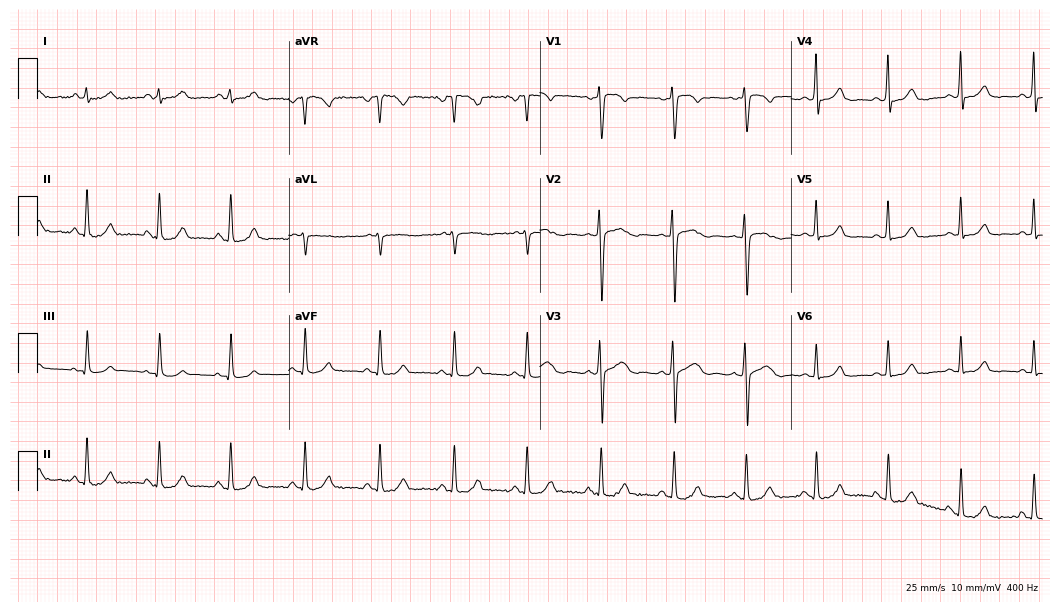
ECG — a 26-year-old female patient. Labelled as a normal ECG.